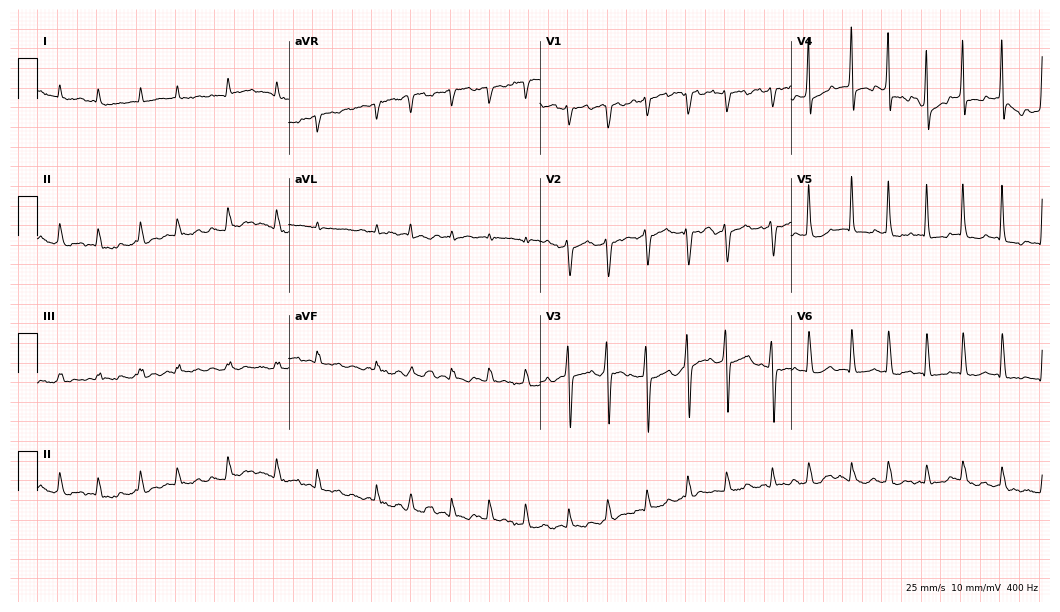
12-lead ECG from a 61-year-old female. Findings include atrial fibrillation (AF).